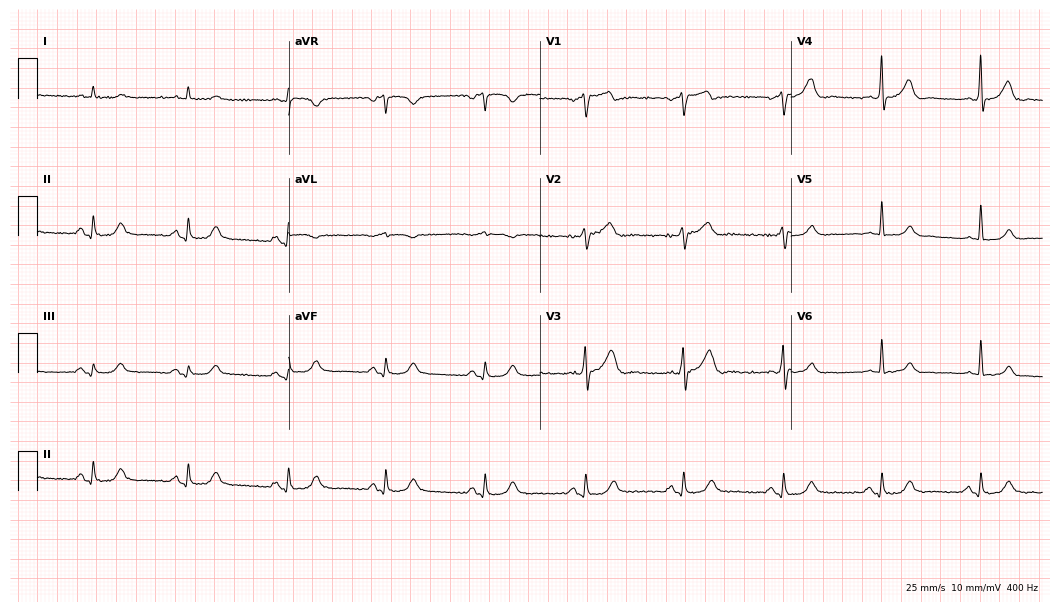
12-lead ECG from a female patient, 77 years old. Labelled as a normal ECG.